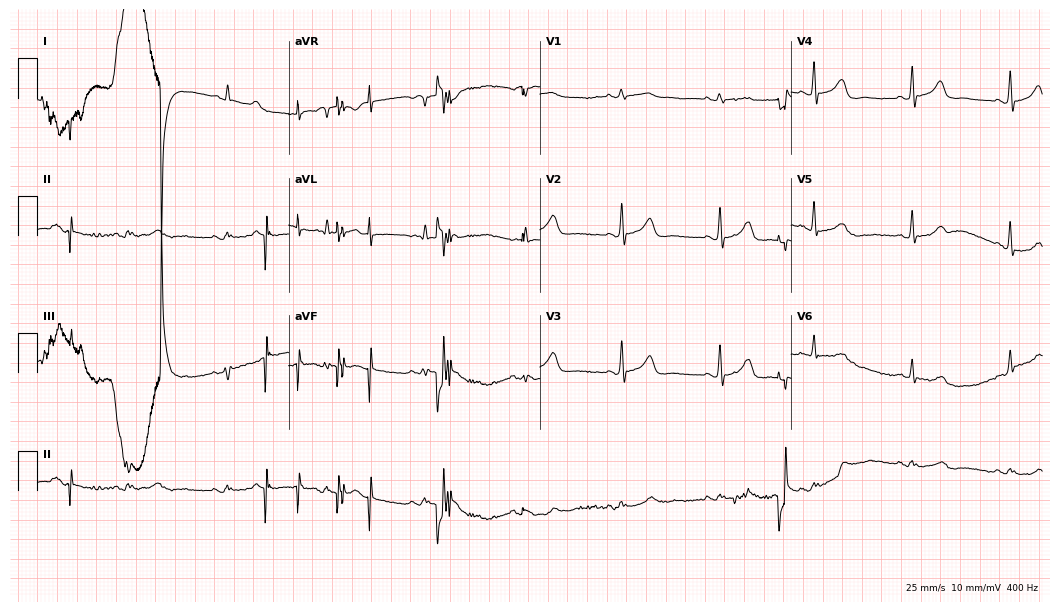
Electrocardiogram (10.2-second recording at 400 Hz), a 72-year-old man. Of the six screened findings (first-degree AV block, right bundle branch block (RBBB), left bundle branch block (LBBB), sinus bradycardia, atrial fibrillation (AF), sinus tachycardia), none is recorded. Only these six findings were labelled.